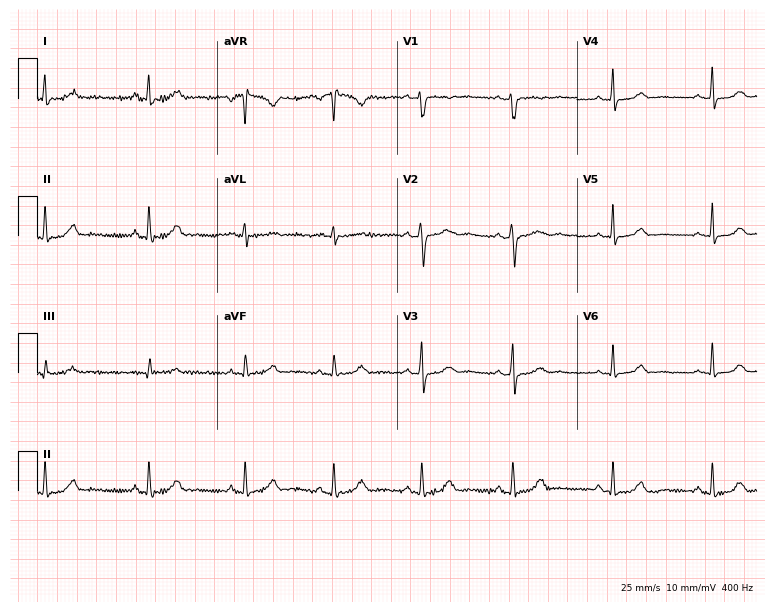
12-lead ECG from a 31-year-old female patient. Labelled as a normal ECG.